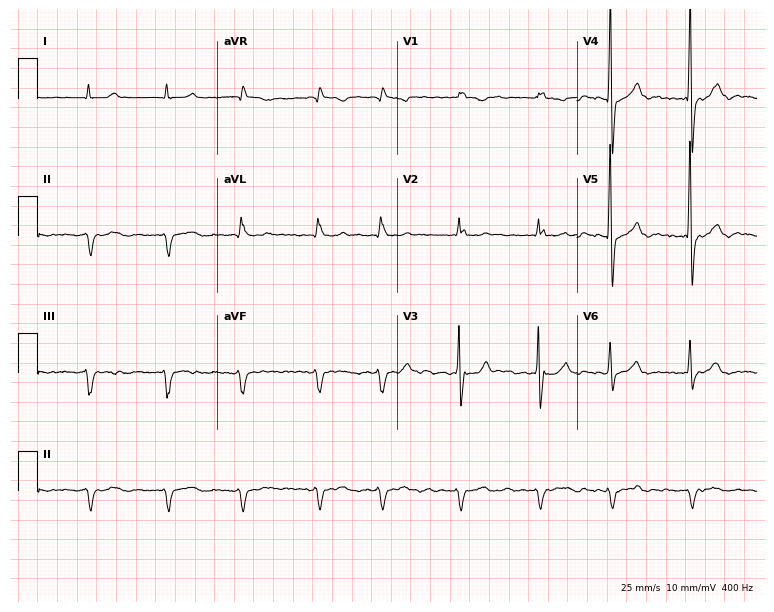
Resting 12-lead electrocardiogram (7.3-second recording at 400 Hz). Patient: a male, 72 years old. The tracing shows right bundle branch block, atrial fibrillation.